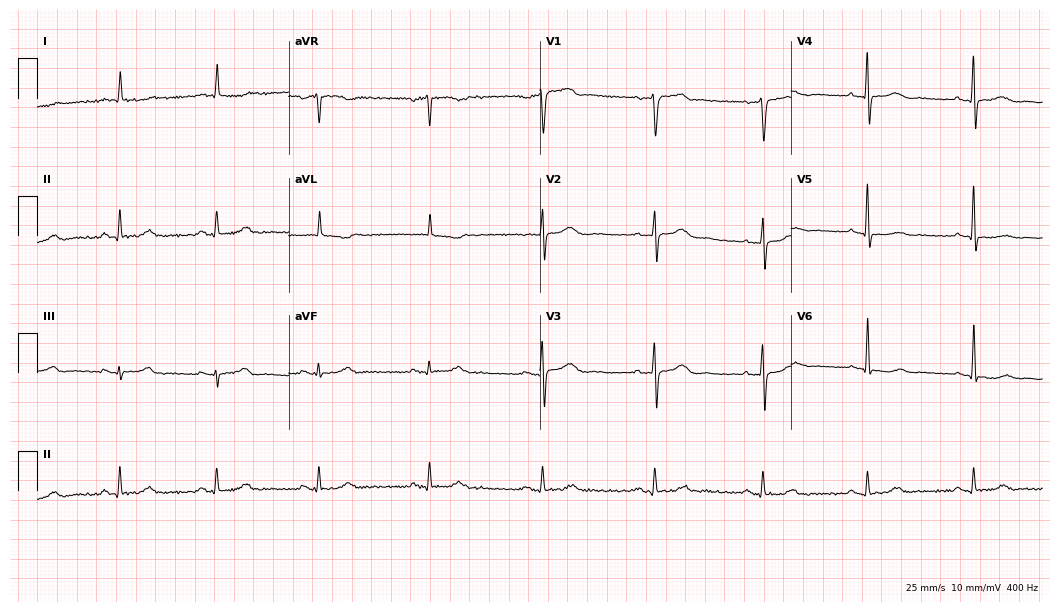
Electrocardiogram, a man, 77 years old. Overall reading on record: normal ECG.